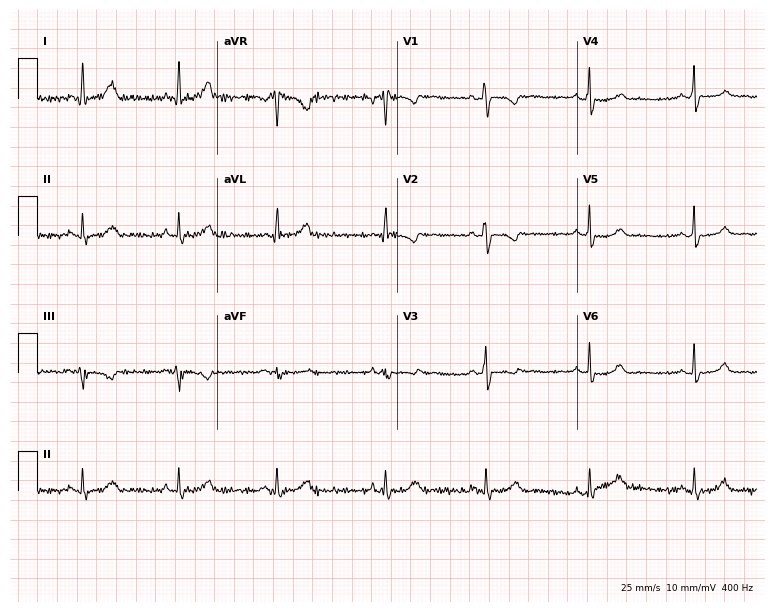
Standard 12-lead ECG recorded from a female patient, 29 years old. None of these six findings is recorded: first-degree AV block, right bundle branch block, left bundle branch block, sinus bradycardia, atrial fibrillation, sinus tachycardia.